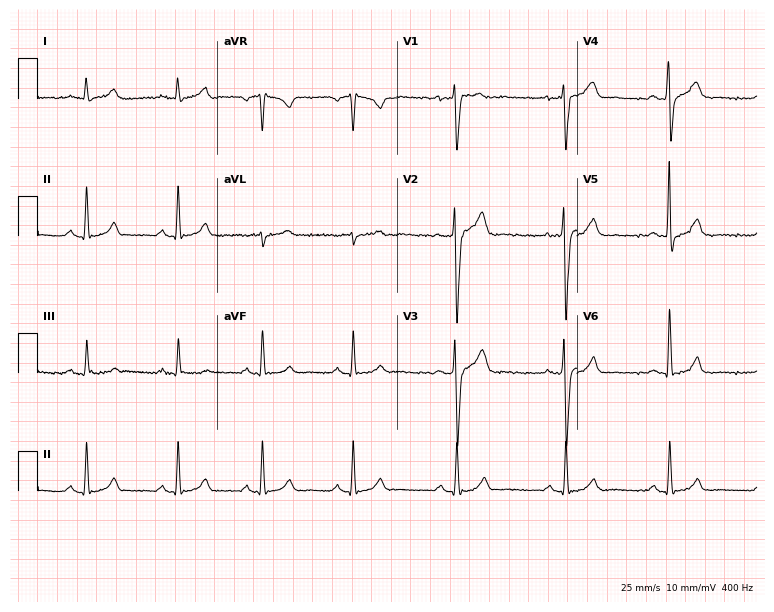
ECG (7.3-second recording at 400 Hz) — a man, 51 years old. Screened for six findings — first-degree AV block, right bundle branch block, left bundle branch block, sinus bradycardia, atrial fibrillation, sinus tachycardia — none is recorded. Only these six findings were labelled.